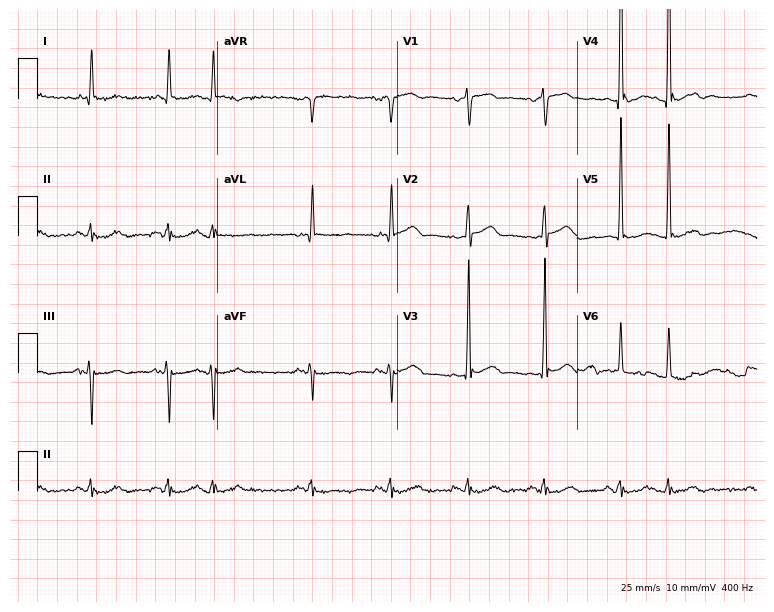
Electrocardiogram (7.3-second recording at 400 Hz), a male, 85 years old. Of the six screened findings (first-degree AV block, right bundle branch block, left bundle branch block, sinus bradycardia, atrial fibrillation, sinus tachycardia), none is recorded.